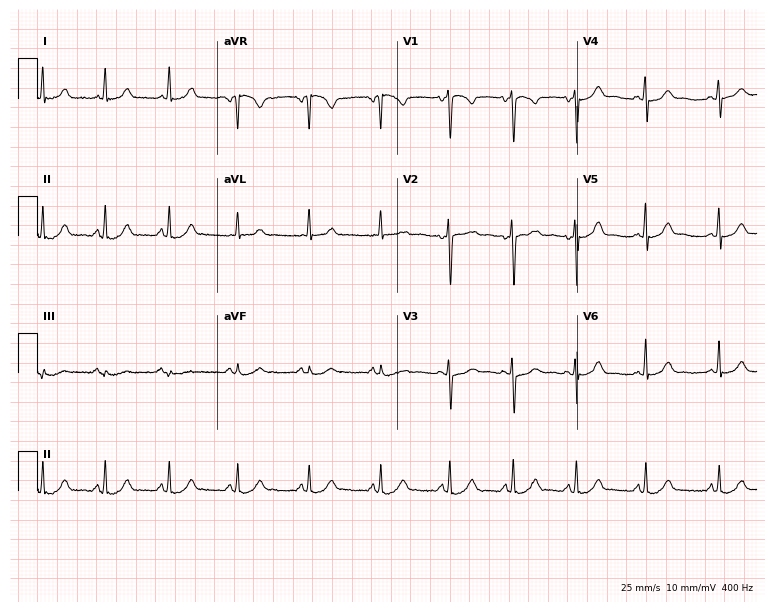
ECG — a 22-year-old female. Screened for six findings — first-degree AV block, right bundle branch block, left bundle branch block, sinus bradycardia, atrial fibrillation, sinus tachycardia — none is recorded. Findings outside these six are not listed.